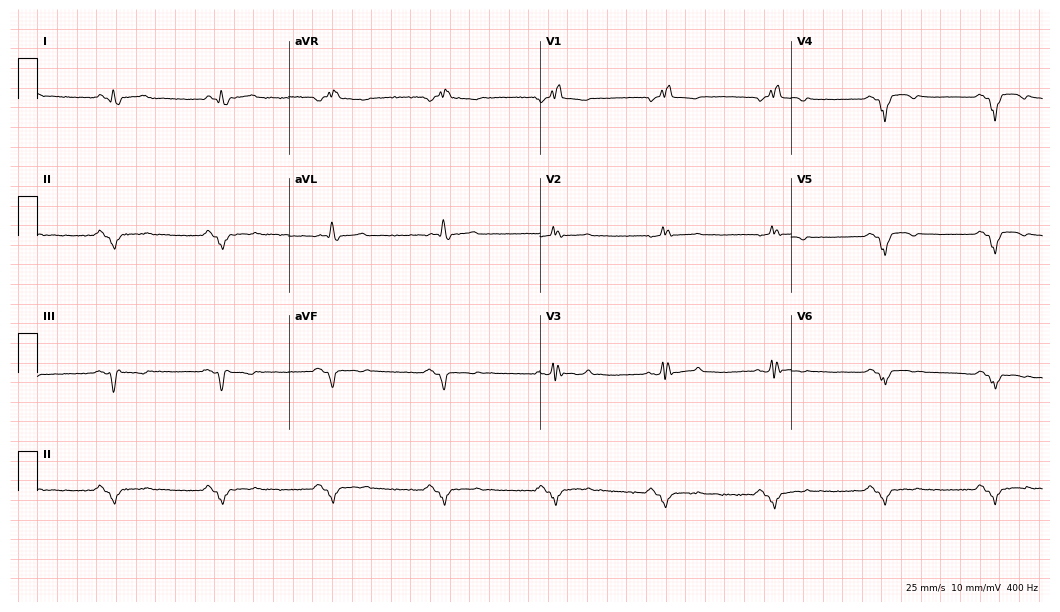
Resting 12-lead electrocardiogram (10.2-second recording at 400 Hz). Patient: an 85-year-old male. None of these six findings is recorded: first-degree AV block, right bundle branch block, left bundle branch block, sinus bradycardia, atrial fibrillation, sinus tachycardia.